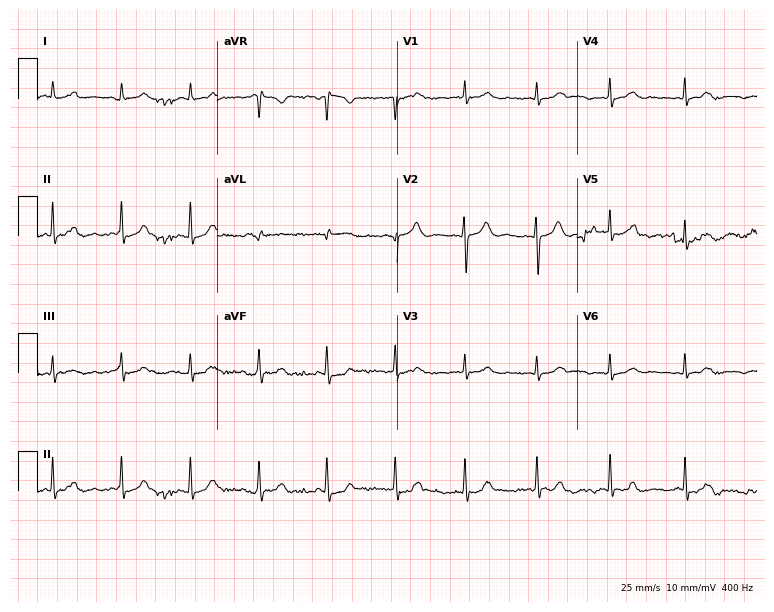
Resting 12-lead electrocardiogram (7.3-second recording at 400 Hz). Patient: a female, 42 years old. None of these six findings is recorded: first-degree AV block, right bundle branch block, left bundle branch block, sinus bradycardia, atrial fibrillation, sinus tachycardia.